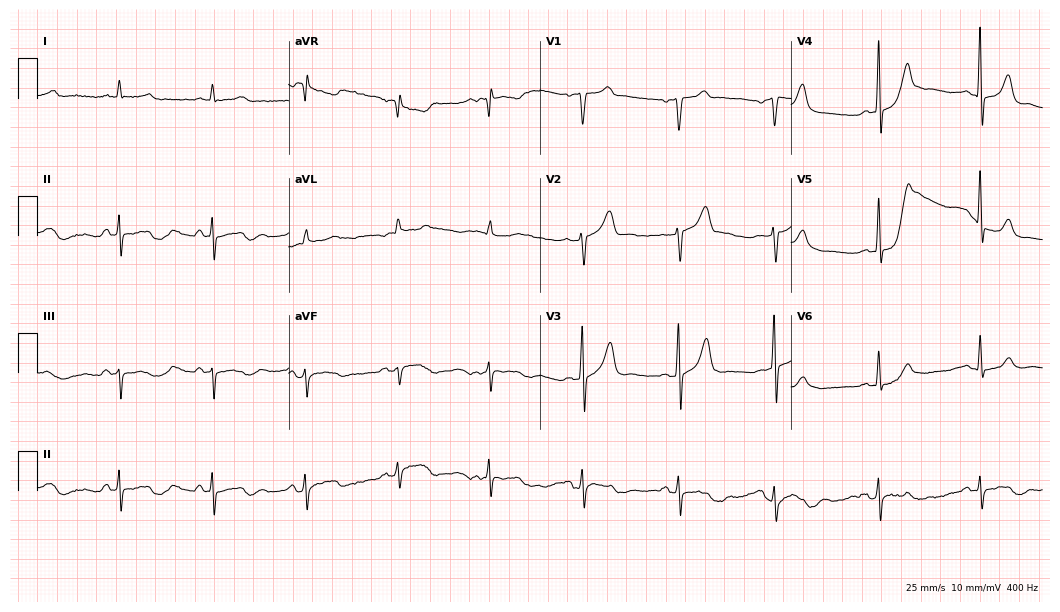
12-lead ECG from a male, 62 years old. No first-degree AV block, right bundle branch block, left bundle branch block, sinus bradycardia, atrial fibrillation or sinus tachycardia recorded for this tracing. Other findings, if any, are not listed.